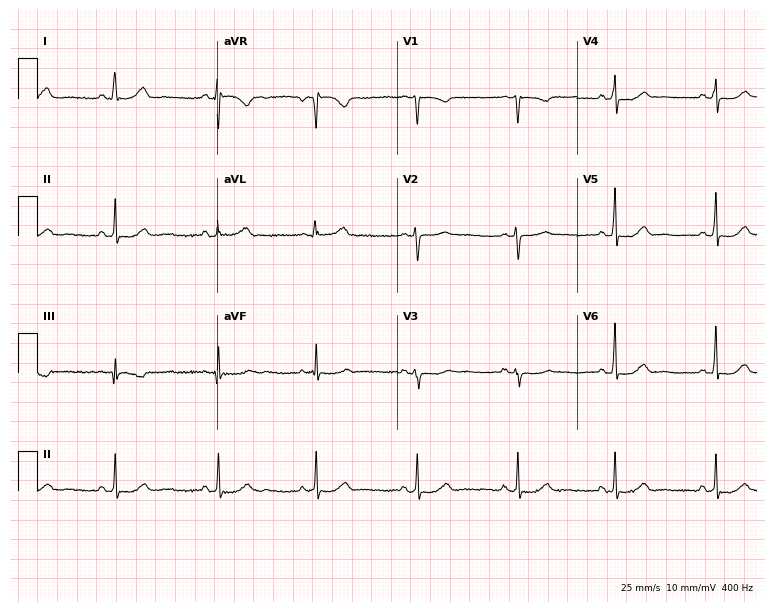
Standard 12-lead ECG recorded from a 65-year-old woman (7.3-second recording at 400 Hz). None of these six findings is recorded: first-degree AV block, right bundle branch block, left bundle branch block, sinus bradycardia, atrial fibrillation, sinus tachycardia.